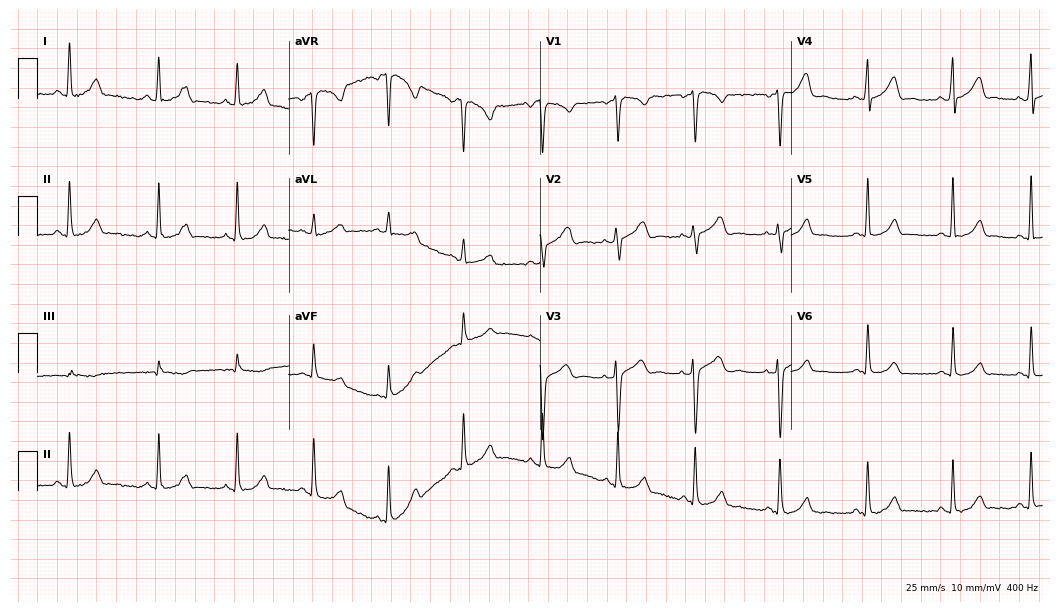
12-lead ECG from a female patient, 28 years old (10.2-second recording at 400 Hz). Recorded interpretation: within normal limits.